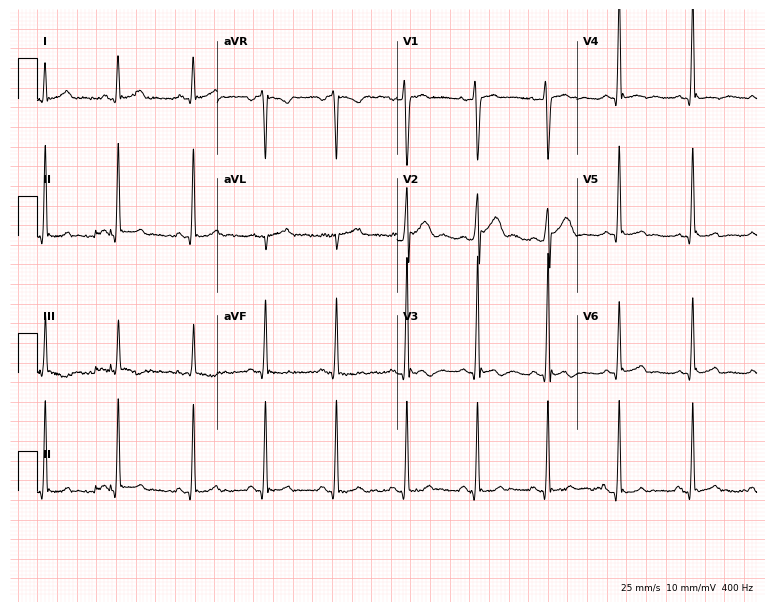
12-lead ECG from a male, 25 years old. Labelled as a normal ECG.